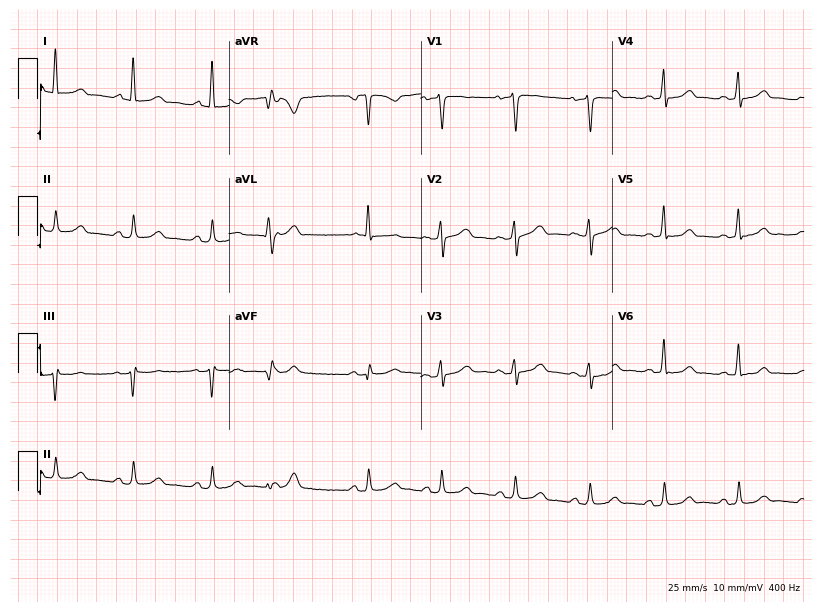
Electrocardiogram, a 55-year-old woman. Of the six screened findings (first-degree AV block, right bundle branch block (RBBB), left bundle branch block (LBBB), sinus bradycardia, atrial fibrillation (AF), sinus tachycardia), none is recorded. Other findings, if any, are not listed.